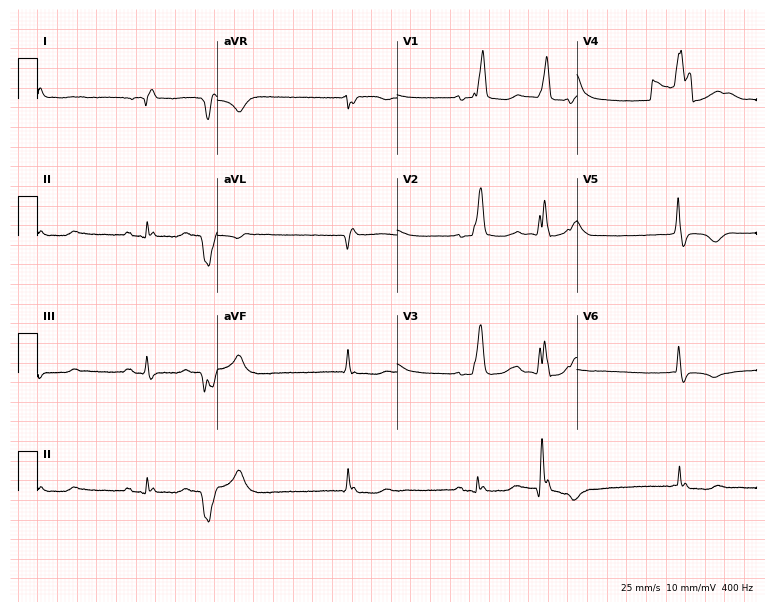
12-lead ECG from a 57-year-old male patient. Shows right bundle branch block, sinus bradycardia (a sinus rate of 50 beats per minute or less).